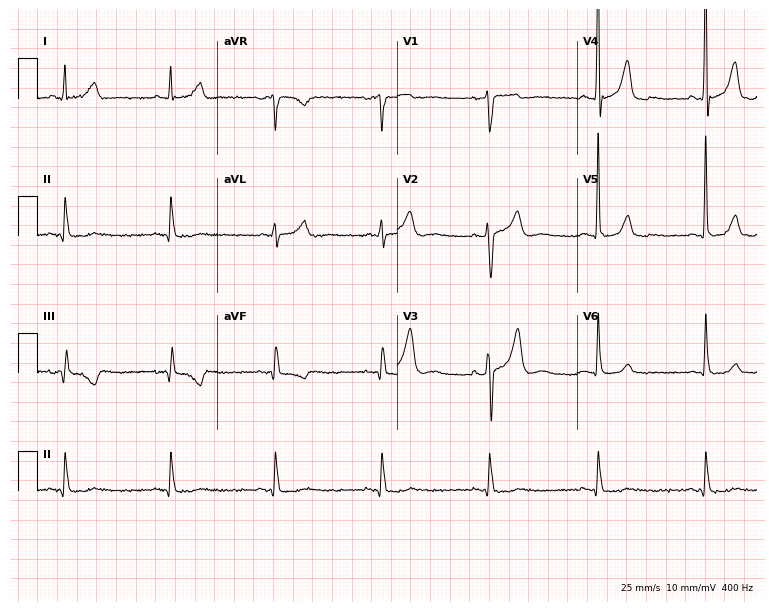
12-lead ECG from a man, 66 years old. Screened for six findings — first-degree AV block, right bundle branch block (RBBB), left bundle branch block (LBBB), sinus bradycardia, atrial fibrillation (AF), sinus tachycardia — none is recorded.